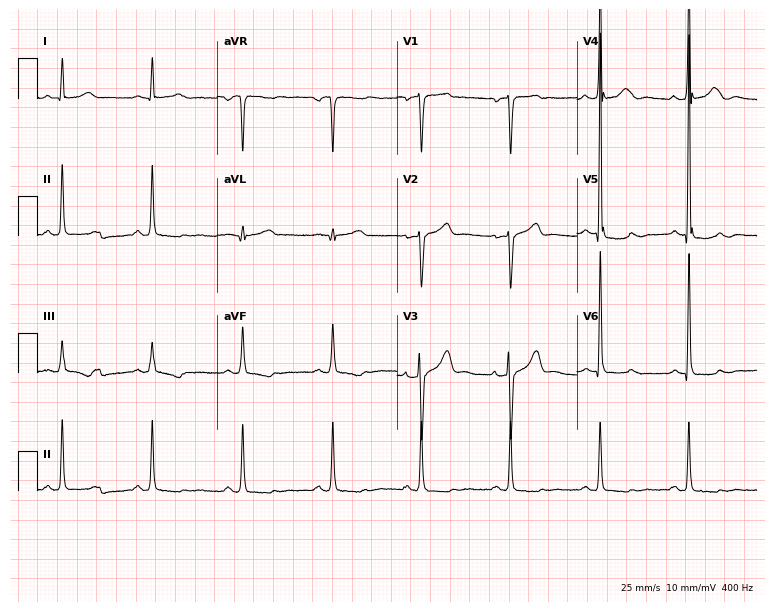
12-lead ECG from a male patient, 46 years old. No first-degree AV block, right bundle branch block (RBBB), left bundle branch block (LBBB), sinus bradycardia, atrial fibrillation (AF) or sinus tachycardia recorded for this tracing. Only these six findings were labelled.